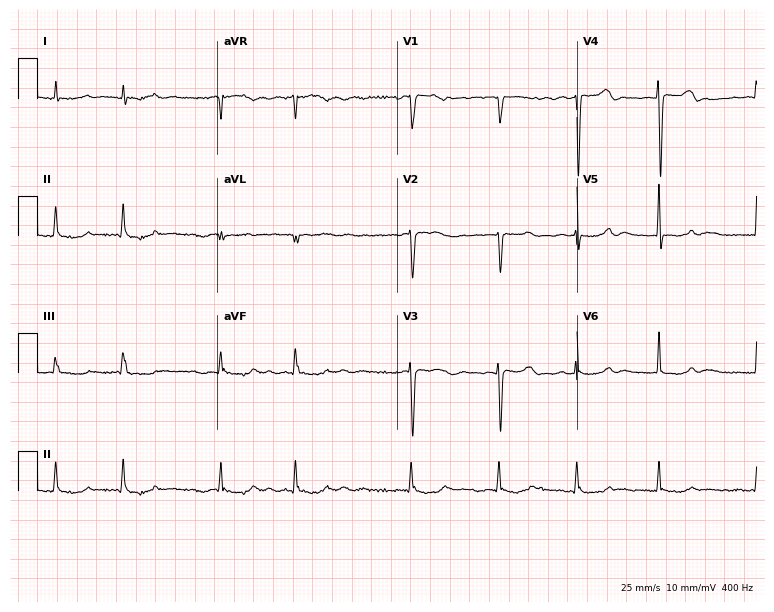
12-lead ECG from a woman, 77 years old. Findings include atrial fibrillation (AF).